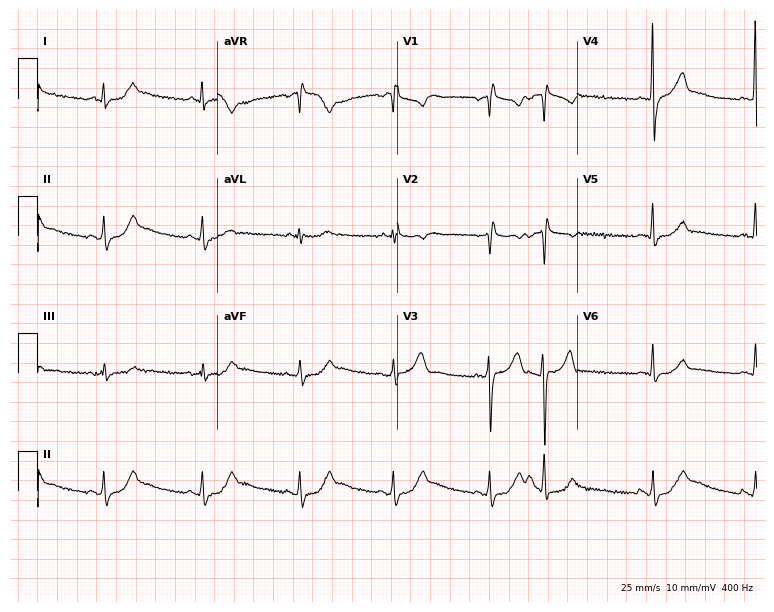
12-lead ECG from a 61-year-old man. Findings include right bundle branch block.